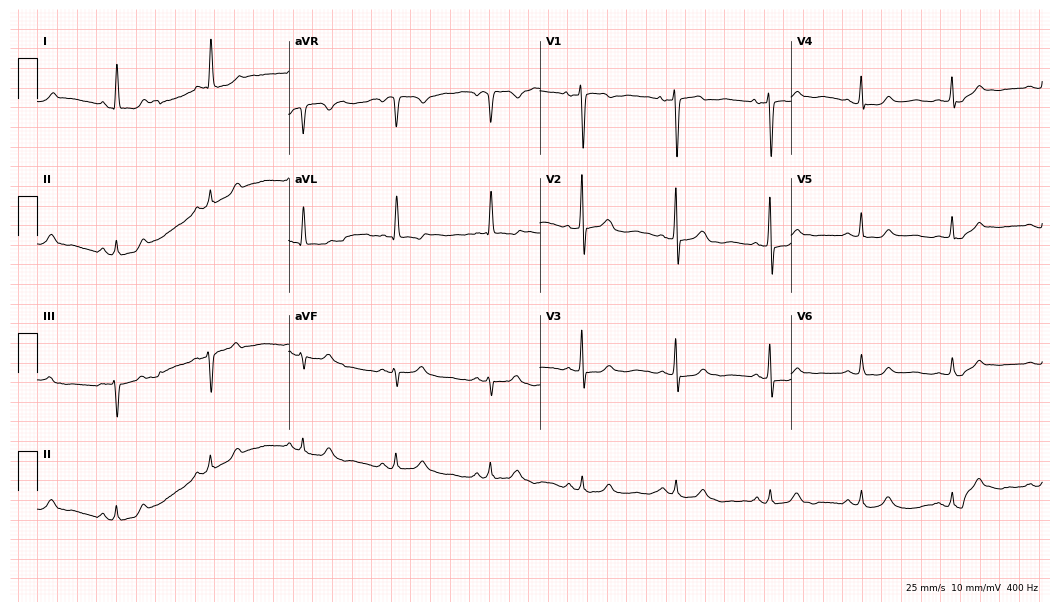
Electrocardiogram, a 72-year-old woman. Overall reading on record: normal ECG.